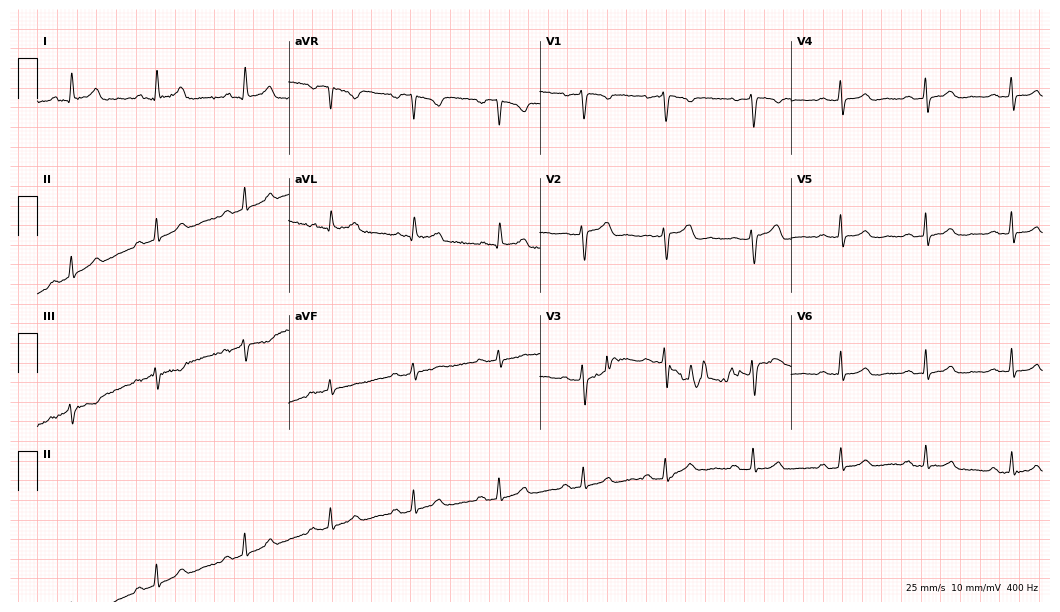
ECG (10.2-second recording at 400 Hz) — a 41-year-old female patient. Labelled as a normal ECG.